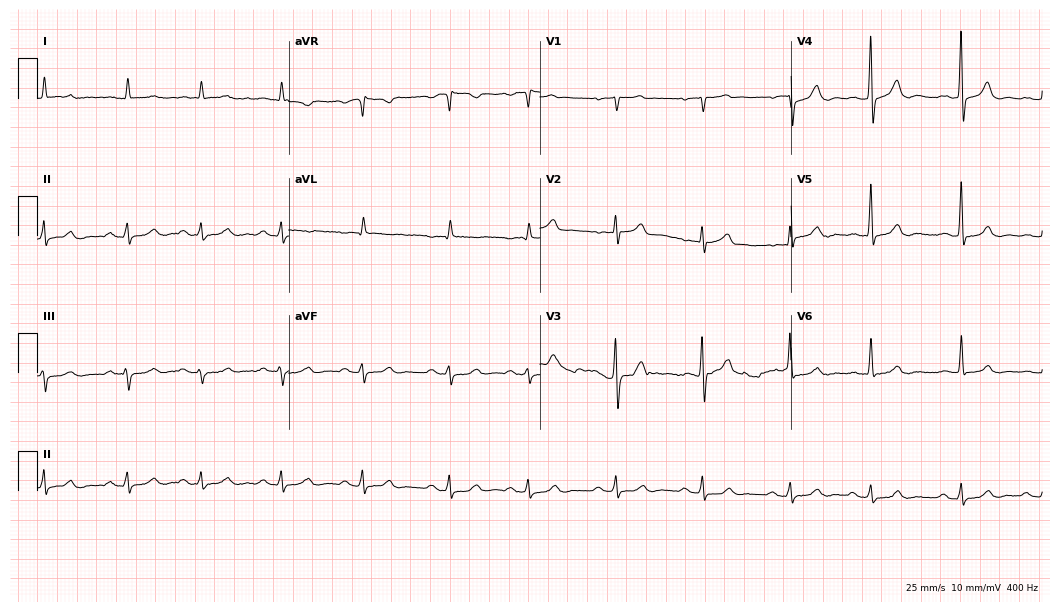
Resting 12-lead electrocardiogram (10.2-second recording at 400 Hz). Patient: an 81-year-old male. Read as a normal ECG.